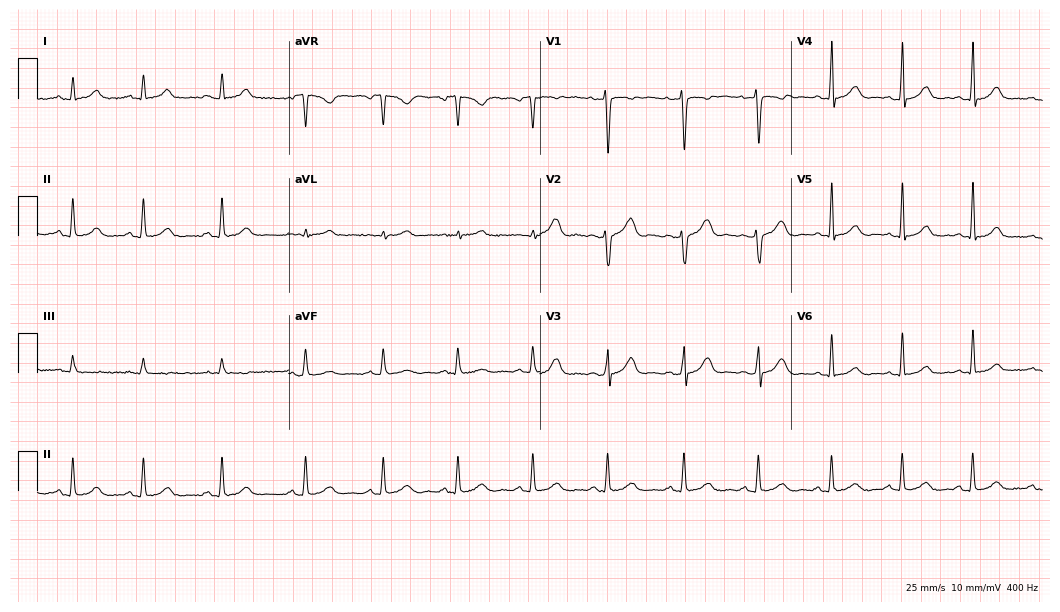
Standard 12-lead ECG recorded from a woman, 23 years old (10.2-second recording at 400 Hz). None of these six findings is recorded: first-degree AV block, right bundle branch block, left bundle branch block, sinus bradycardia, atrial fibrillation, sinus tachycardia.